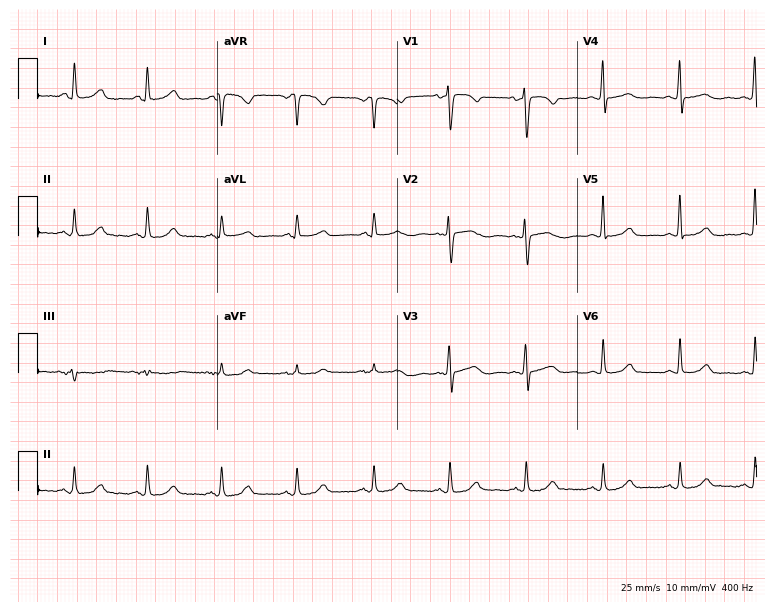
Resting 12-lead electrocardiogram. Patient: a female, 57 years old. None of these six findings is recorded: first-degree AV block, right bundle branch block, left bundle branch block, sinus bradycardia, atrial fibrillation, sinus tachycardia.